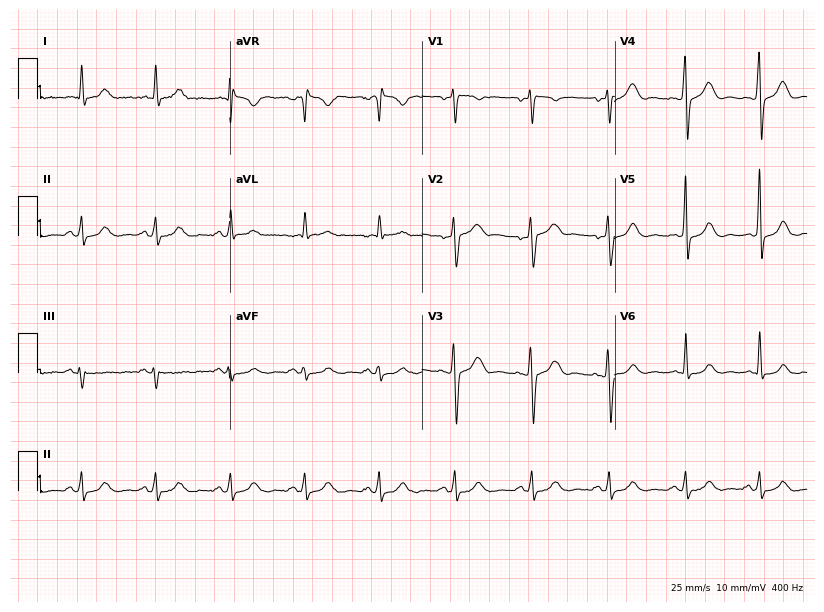
Standard 12-lead ECG recorded from a male, 48 years old. Read as a normal ECG.